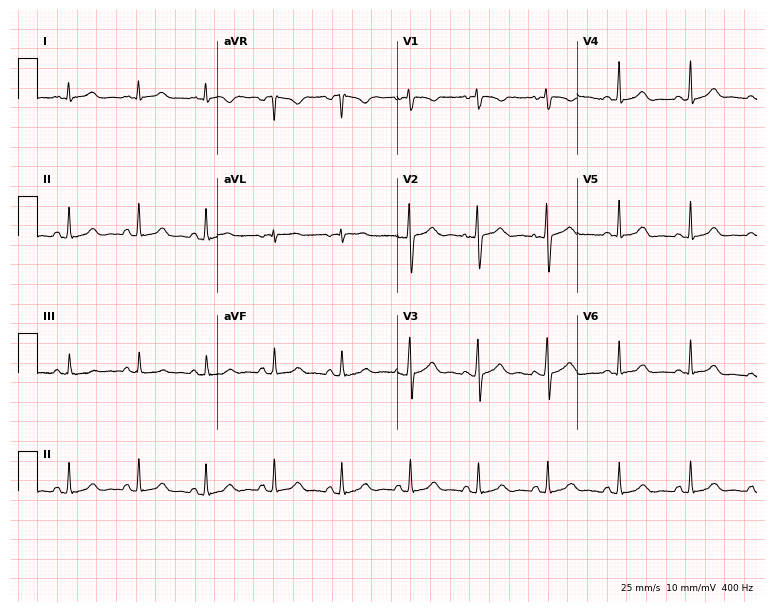
Resting 12-lead electrocardiogram (7.3-second recording at 400 Hz). Patient: a 19-year-old woman. Read as a normal ECG.